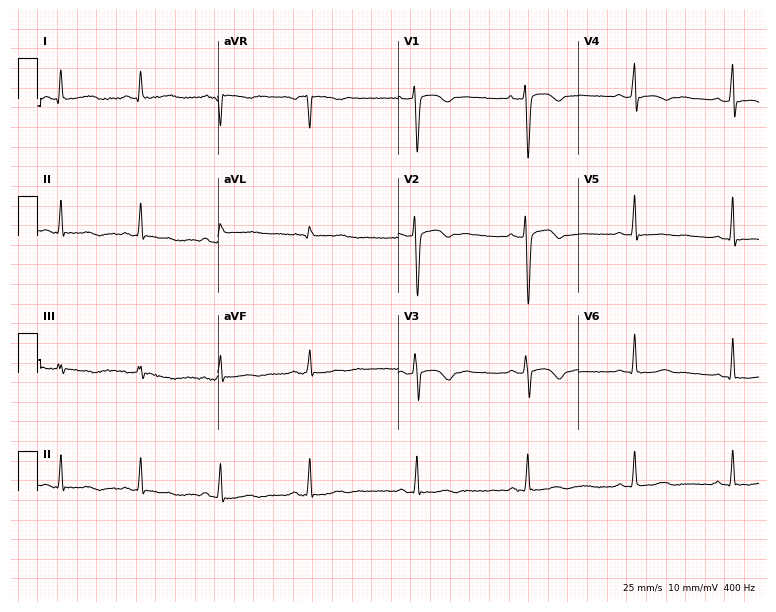
12-lead ECG from a female, 24 years old. Recorded interpretation: within normal limits.